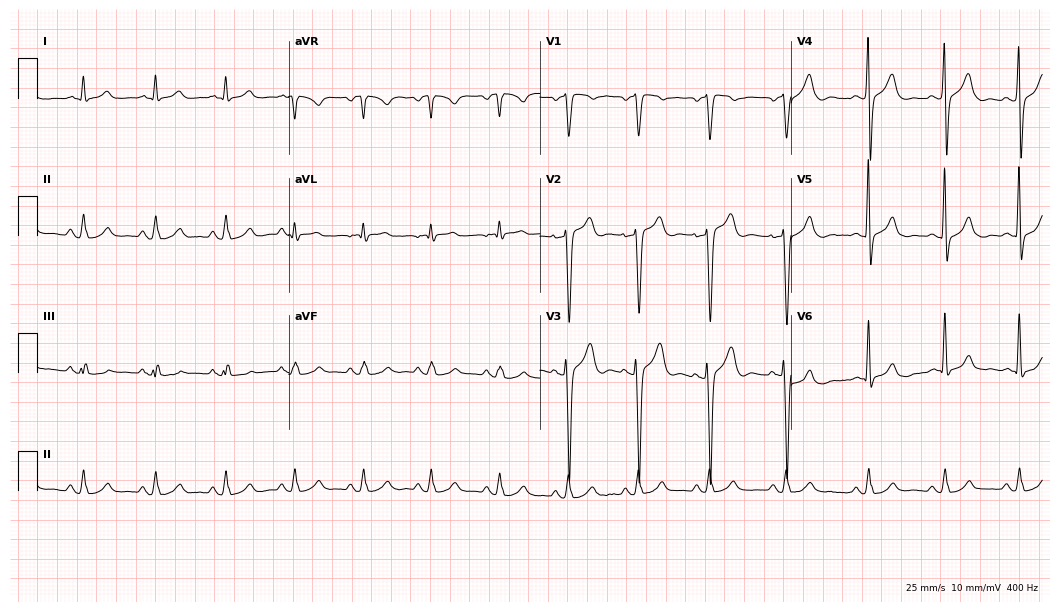
12-lead ECG (10.2-second recording at 400 Hz) from a 54-year-old male. Labelled as a normal ECG.